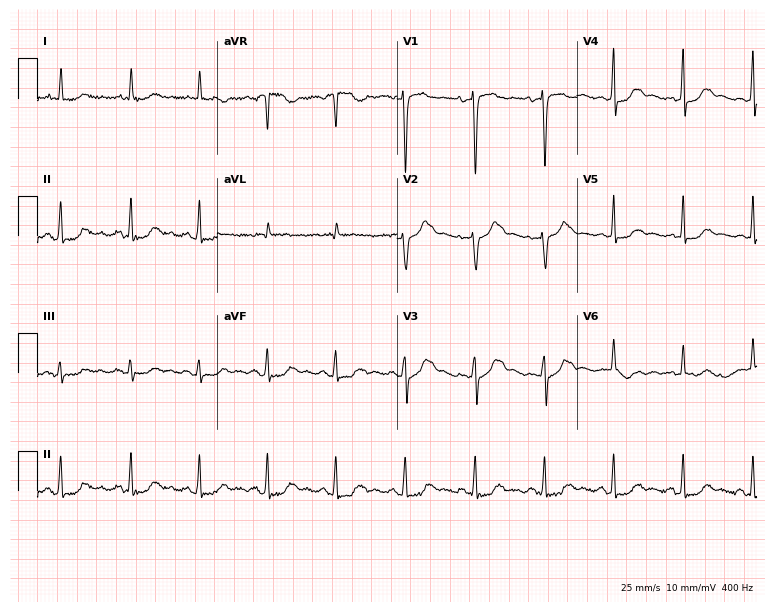
ECG (7.3-second recording at 400 Hz) — a 49-year-old woman. Labelled as a normal ECG.